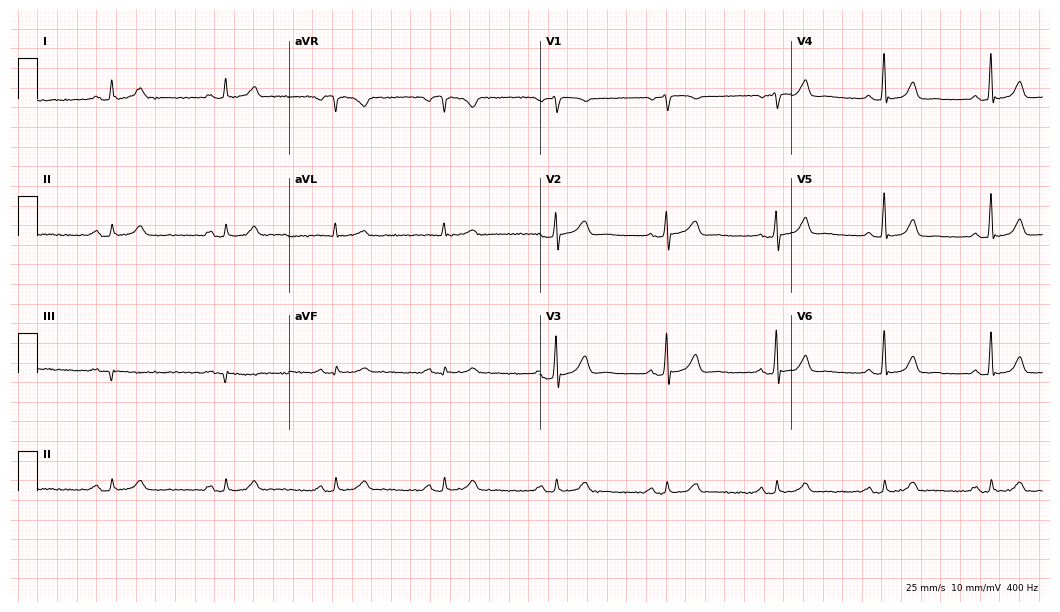
12-lead ECG (10.2-second recording at 400 Hz) from a 49-year-old male. Screened for six findings — first-degree AV block, right bundle branch block, left bundle branch block, sinus bradycardia, atrial fibrillation, sinus tachycardia — none is recorded.